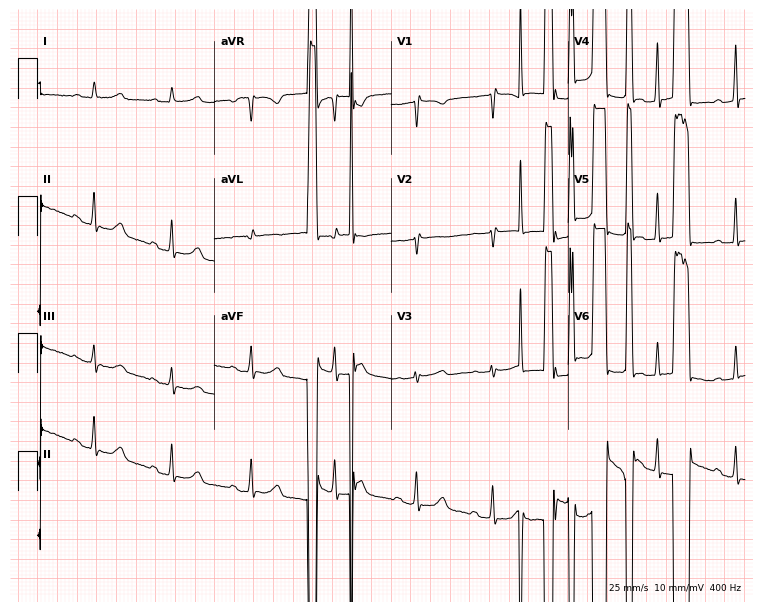
Standard 12-lead ECG recorded from a 51-year-old female patient (7.2-second recording at 400 Hz). None of these six findings is recorded: first-degree AV block, right bundle branch block, left bundle branch block, sinus bradycardia, atrial fibrillation, sinus tachycardia. Other findings, if any, are not listed.